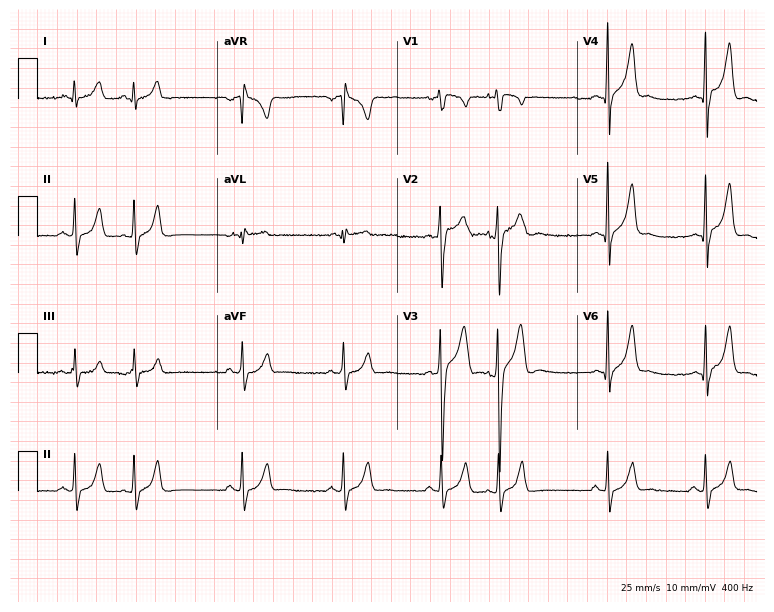
12-lead ECG from a 22-year-old male patient. Screened for six findings — first-degree AV block, right bundle branch block (RBBB), left bundle branch block (LBBB), sinus bradycardia, atrial fibrillation (AF), sinus tachycardia — none is recorded. Other findings, if any, are not listed.